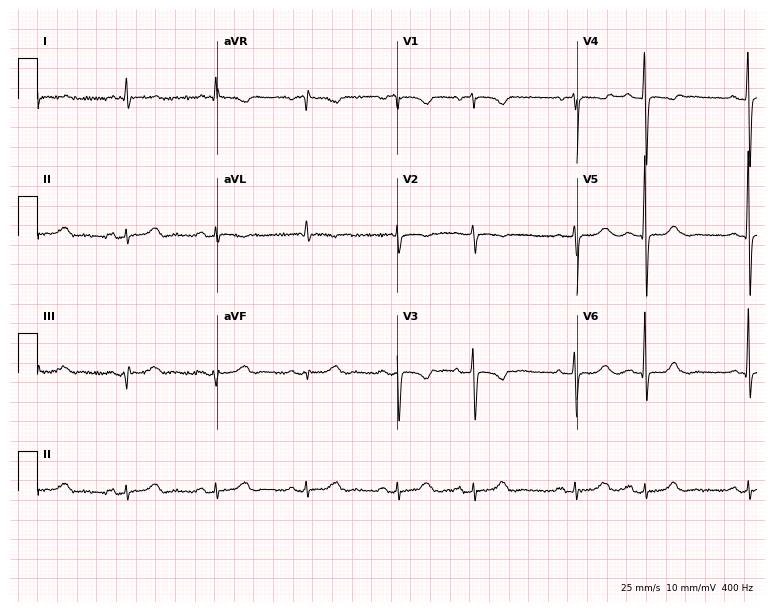
ECG — a woman, 80 years old. Screened for six findings — first-degree AV block, right bundle branch block, left bundle branch block, sinus bradycardia, atrial fibrillation, sinus tachycardia — none is recorded.